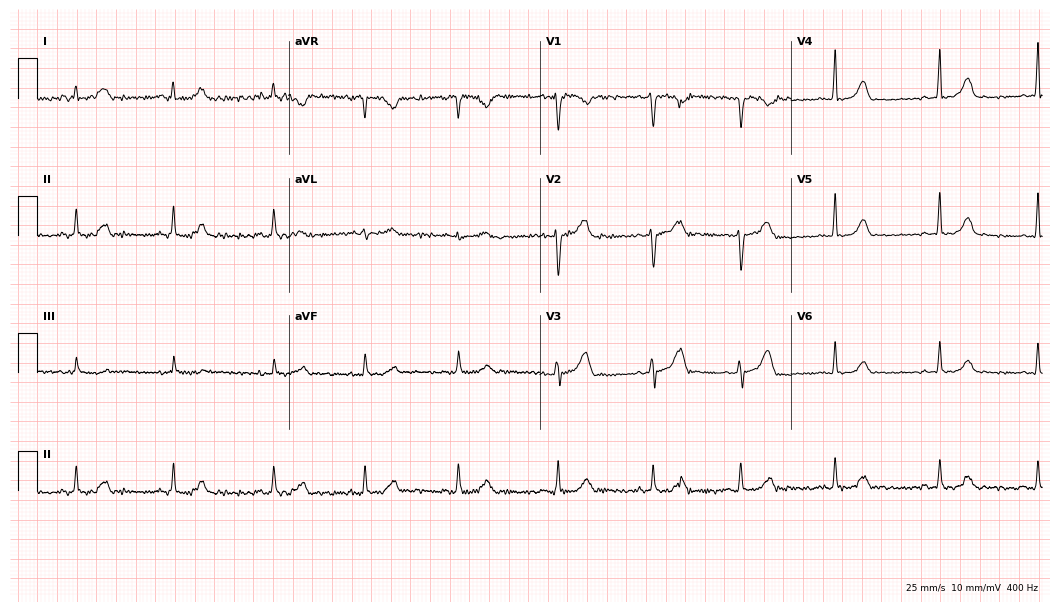
Resting 12-lead electrocardiogram. Patient: a 30-year-old woman. Read as a normal ECG.